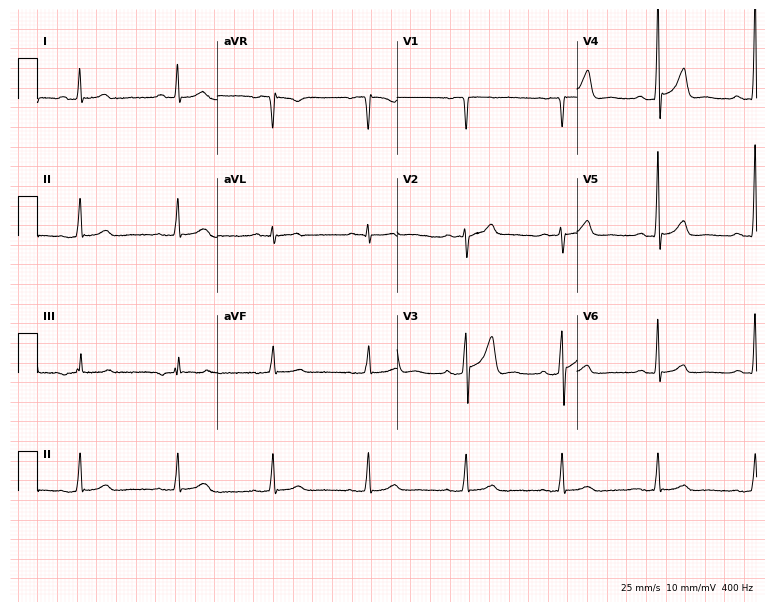
ECG (7.3-second recording at 400 Hz) — a 70-year-old man. Screened for six findings — first-degree AV block, right bundle branch block, left bundle branch block, sinus bradycardia, atrial fibrillation, sinus tachycardia — none is recorded.